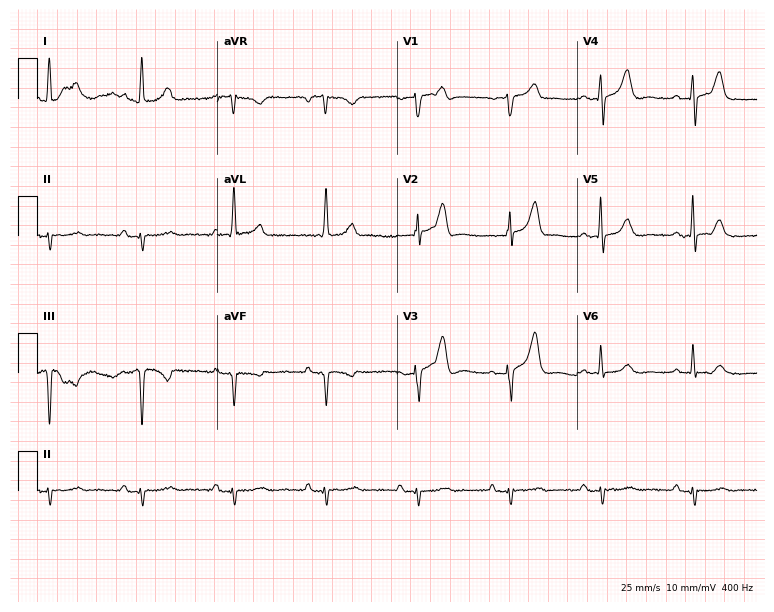
12-lead ECG (7.3-second recording at 400 Hz) from a woman, 83 years old. Screened for six findings — first-degree AV block, right bundle branch block, left bundle branch block, sinus bradycardia, atrial fibrillation, sinus tachycardia — none is recorded.